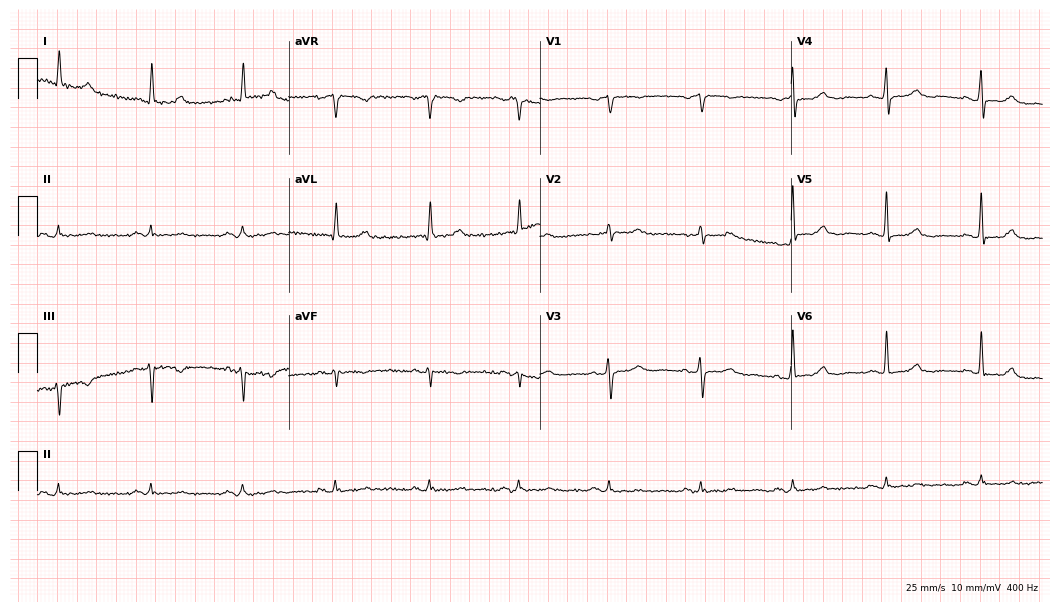
12-lead ECG (10.2-second recording at 400 Hz) from a woman, 69 years old. Screened for six findings — first-degree AV block, right bundle branch block, left bundle branch block, sinus bradycardia, atrial fibrillation, sinus tachycardia — none is recorded. Findings outside these six are not listed.